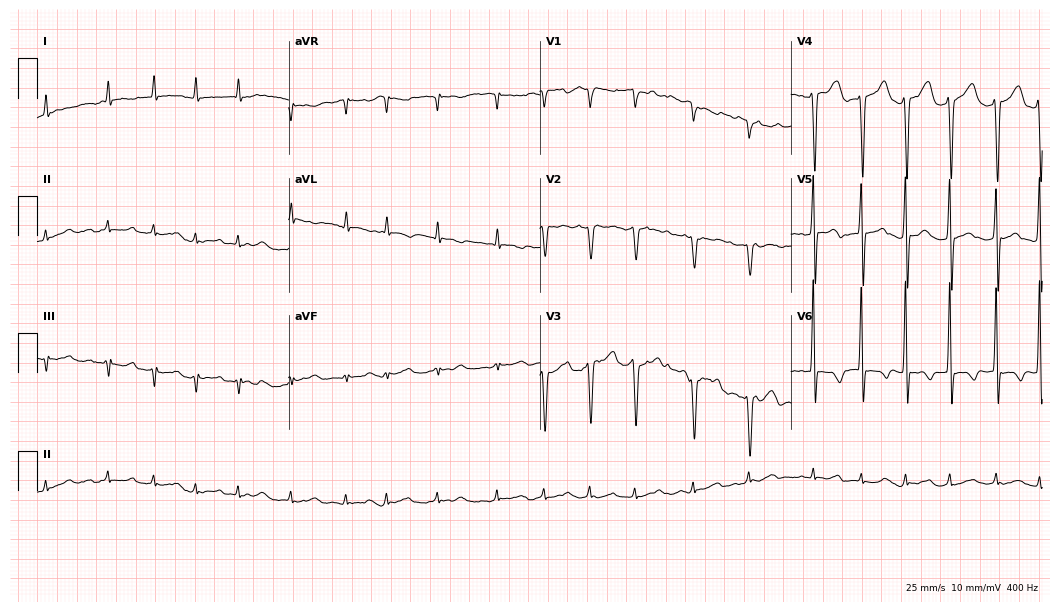
Electrocardiogram, a 72-year-old man. Interpretation includes atrial fibrillation.